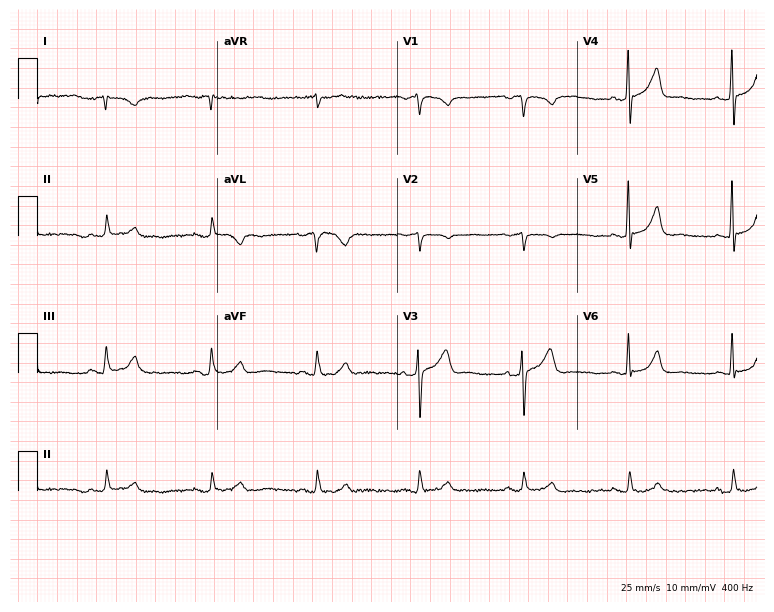
12-lead ECG from a 63-year-old man. Screened for six findings — first-degree AV block, right bundle branch block, left bundle branch block, sinus bradycardia, atrial fibrillation, sinus tachycardia — none is recorded. Other findings, if any, are not listed.